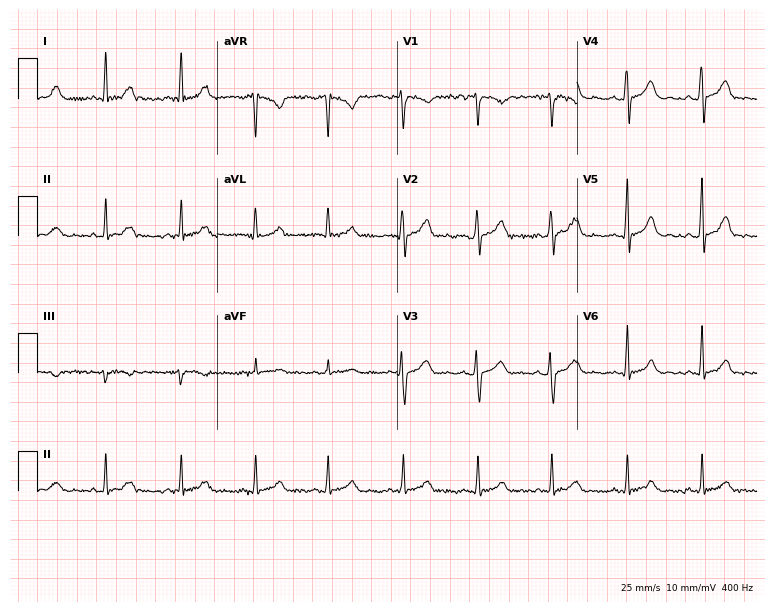
12-lead ECG from a woman, 21 years old. Labelled as a normal ECG.